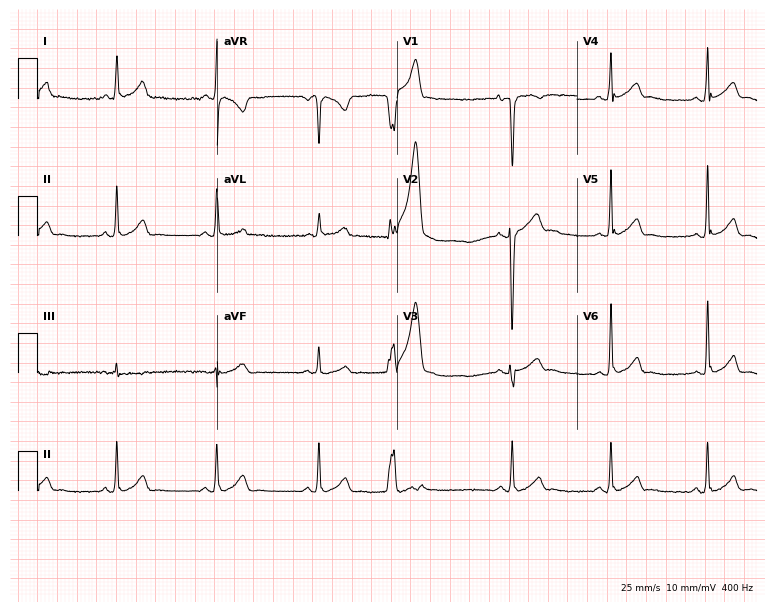
Resting 12-lead electrocardiogram (7.3-second recording at 400 Hz). Patient: a 21-year-old man. Read as a normal ECG.